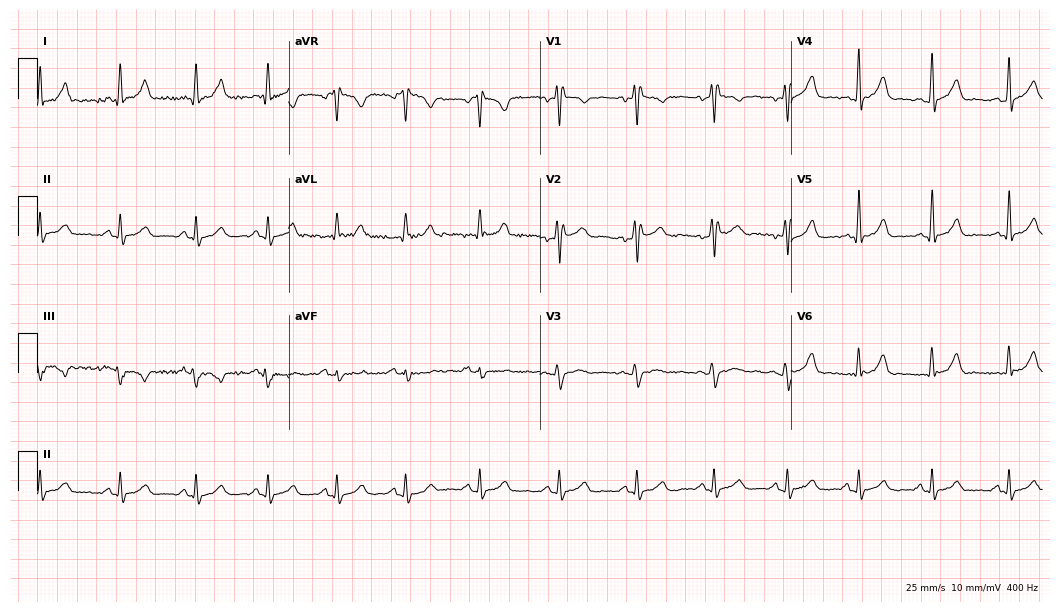
12-lead ECG from a male patient, 26 years old. No first-degree AV block, right bundle branch block, left bundle branch block, sinus bradycardia, atrial fibrillation or sinus tachycardia recorded for this tracing.